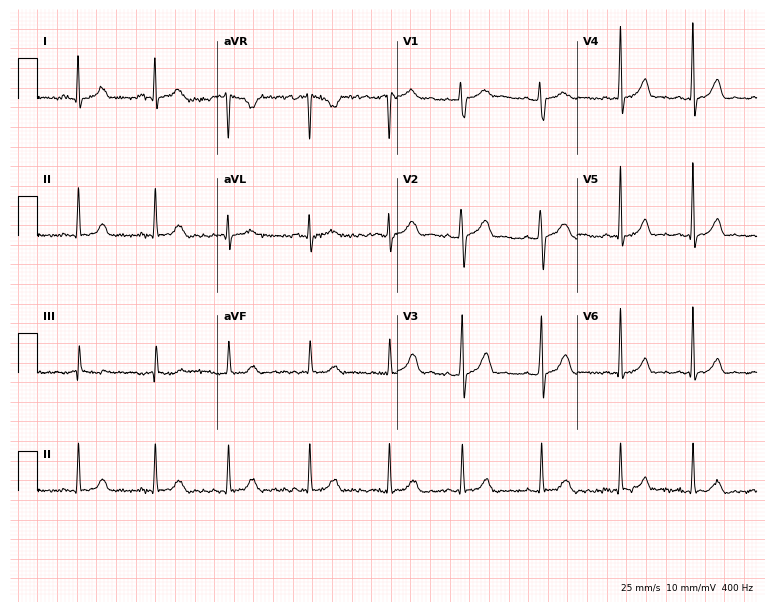
ECG — a 32-year-old female. Labelled as a normal ECG.